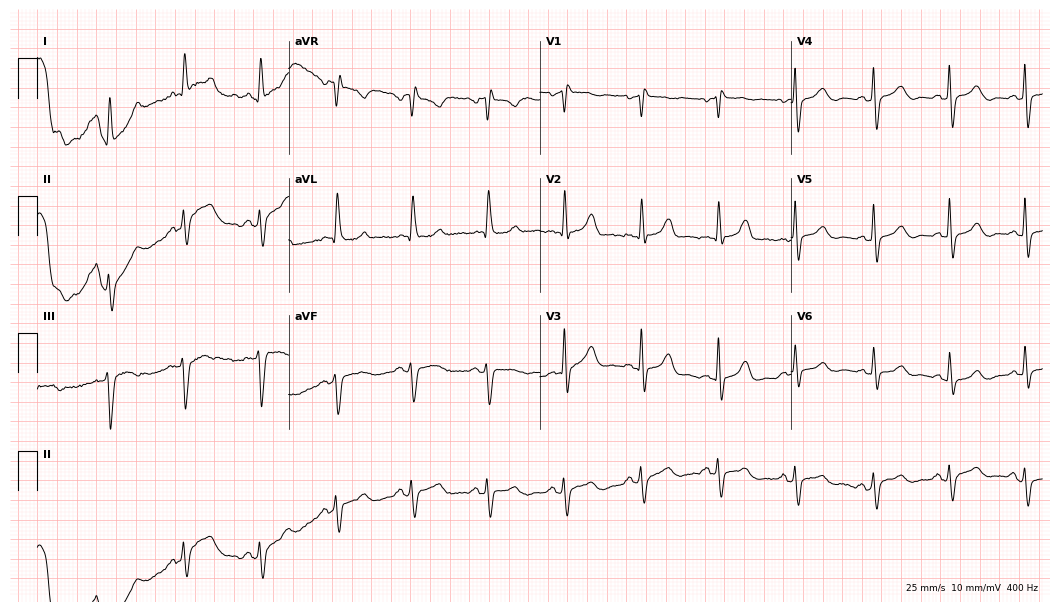
Resting 12-lead electrocardiogram. Patient: a female, 82 years old. None of these six findings is recorded: first-degree AV block, right bundle branch block, left bundle branch block, sinus bradycardia, atrial fibrillation, sinus tachycardia. Other findings, if any, are not listed.